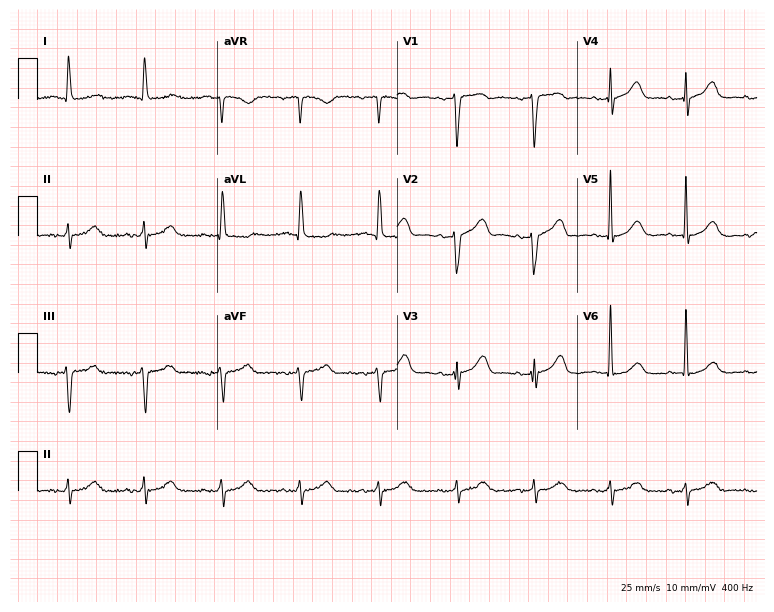
Electrocardiogram (7.3-second recording at 400 Hz), a female, 20 years old. Of the six screened findings (first-degree AV block, right bundle branch block (RBBB), left bundle branch block (LBBB), sinus bradycardia, atrial fibrillation (AF), sinus tachycardia), none is recorded.